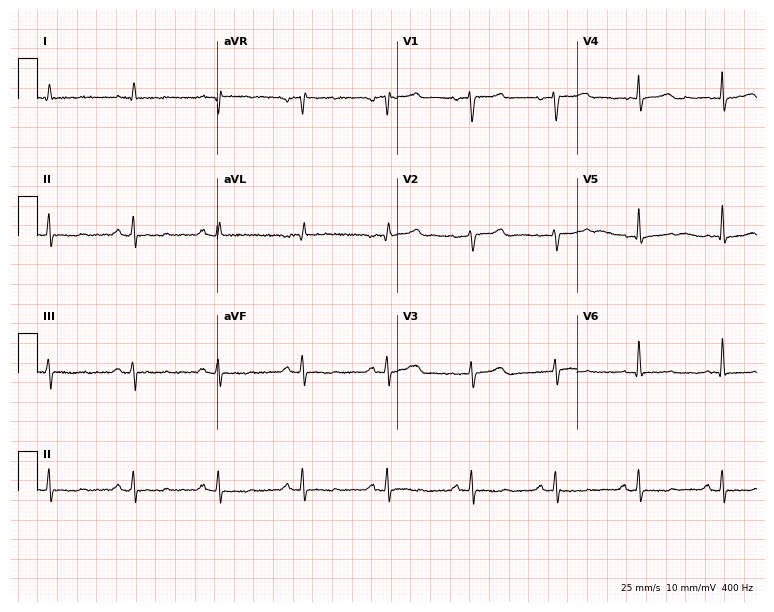
Resting 12-lead electrocardiogram. Patient: a 77-year-old female. None of these six findings is recorded: first-degree AV block, right bundle branch block, left bundle branch block, sinus bradycardia, atrial fibrillation, sinus tachycardia. Findings outside these six are not listed.